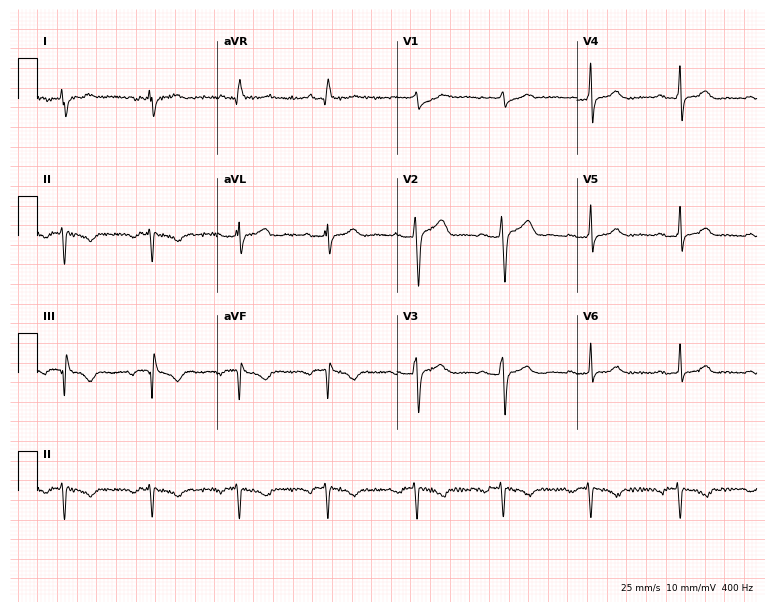
12-lead ECG from a male patient, 46 years old. No first-degree AV block, right bundle branch block, left bundle branch block, sinus bradycardia, atrial fibrillation or sinus tachycardia recorded for this tracing. Findings outside these six are not listed.